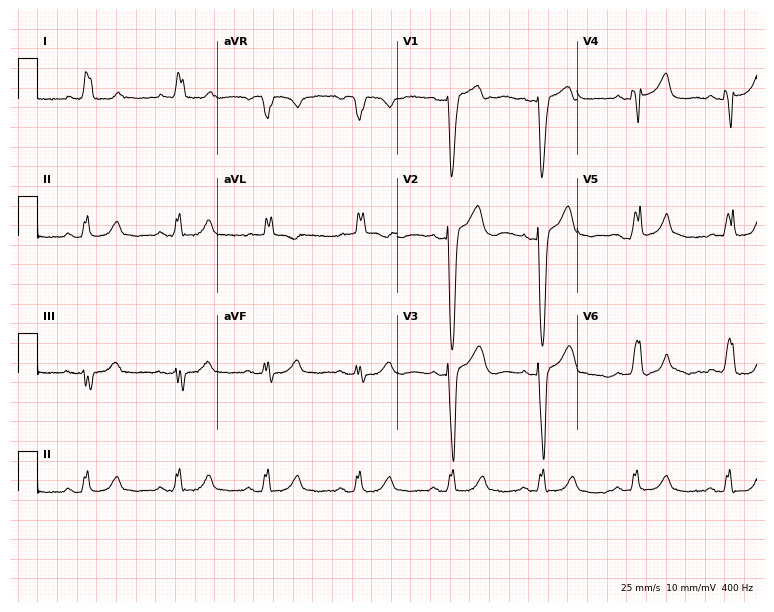
12-lead ECG (7.3-second recording at 400 Hz) from a 75-year-old female patient. Findings include left bundle branch block.